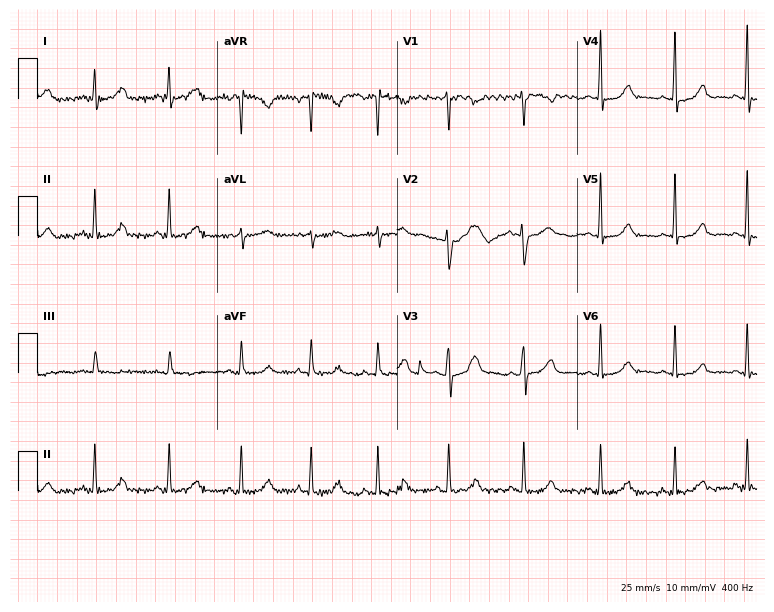
ECG — a 40-year-old female patient. Labelled as a normal ECG.